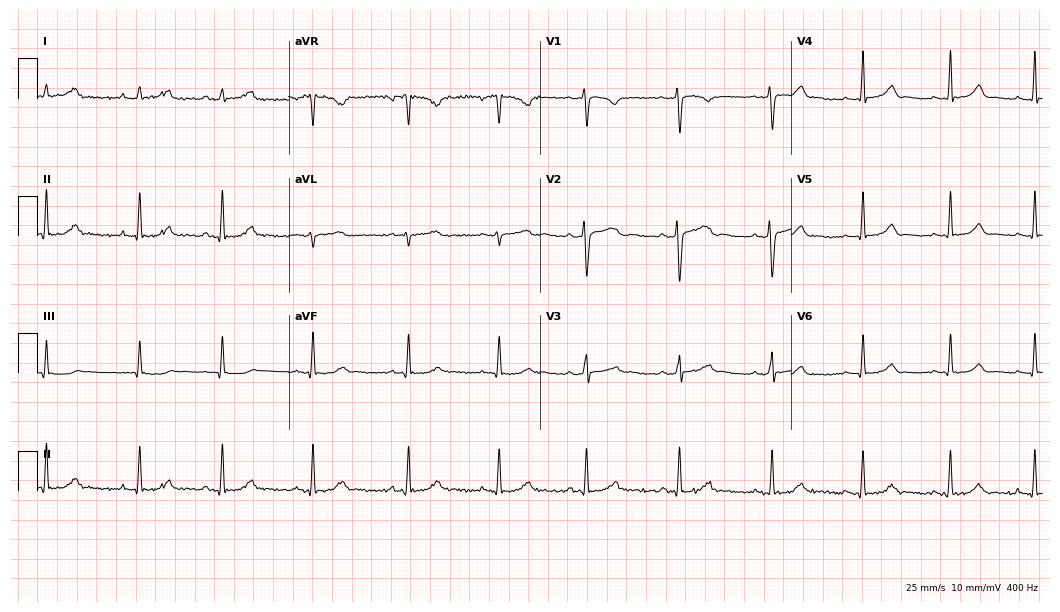
Electrocardiogram, a woman, 27 years old. Of the six screened findings (first-degree AV block, right bundle branch block (RBBB), left bundle branch block (LBBB), sinus bradycardia, atrial fibrillation (AF), sinus tachycardia), none is recorded.